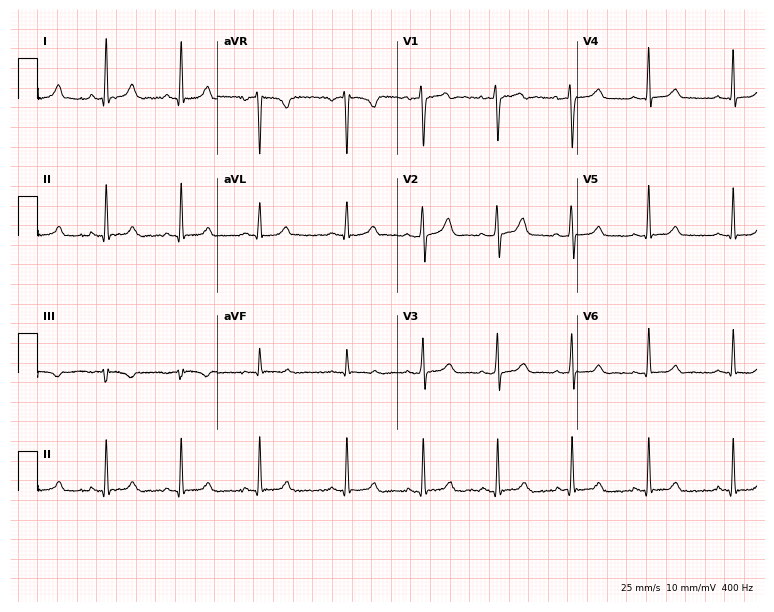
Electrocardiogram (7.3-second recording at 400 Hz), a female, 35 years old. Overall reading on record: normal ECG.